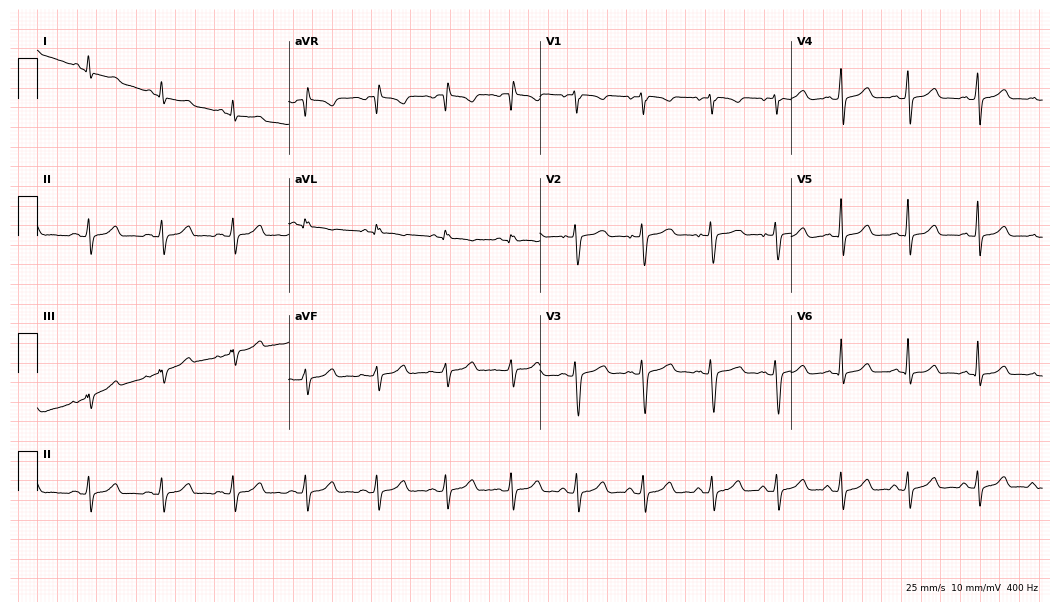
12-lead ECG from a woman, 20 years old. Recorded interpretation: within normal limits.